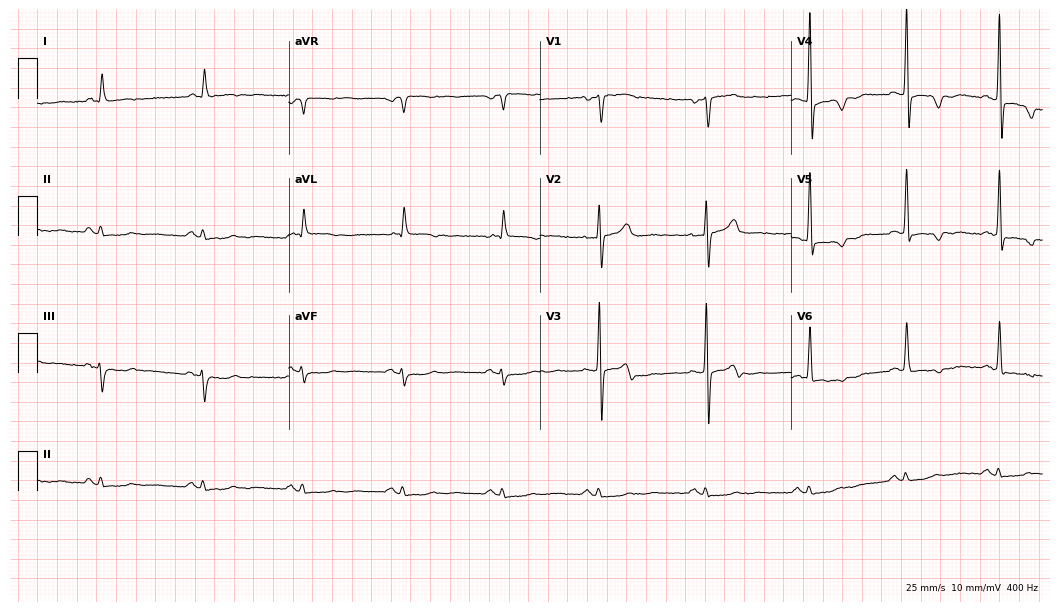
Electrocardiogram, a 75-year-old male. Of the six screened findings (first-degree AV block, right bundle branch block, left bundle branch block, sinus bradycardia, atrial fibrillation, sinus tachycardia), none is recorded.